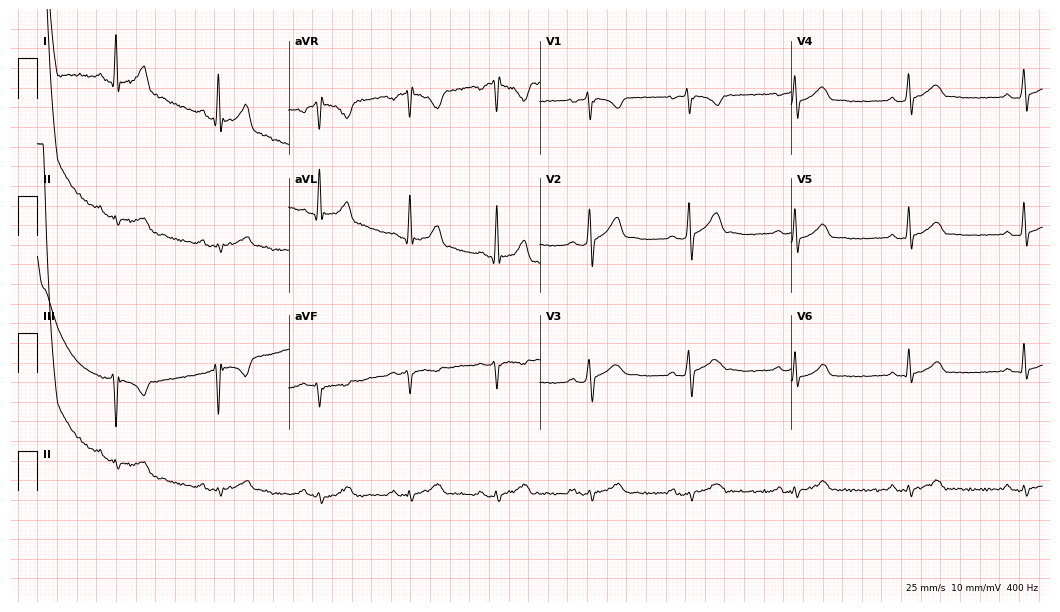
Electrocardiogram, a 33-year-old male. Of the six screened findings (first-degree AV block, right bundle branch block, left bundle branch block, sinus bradycardia, atrial fibrillation, sinus tachycardia), none is recorded. Other findings, if any, are not listed.